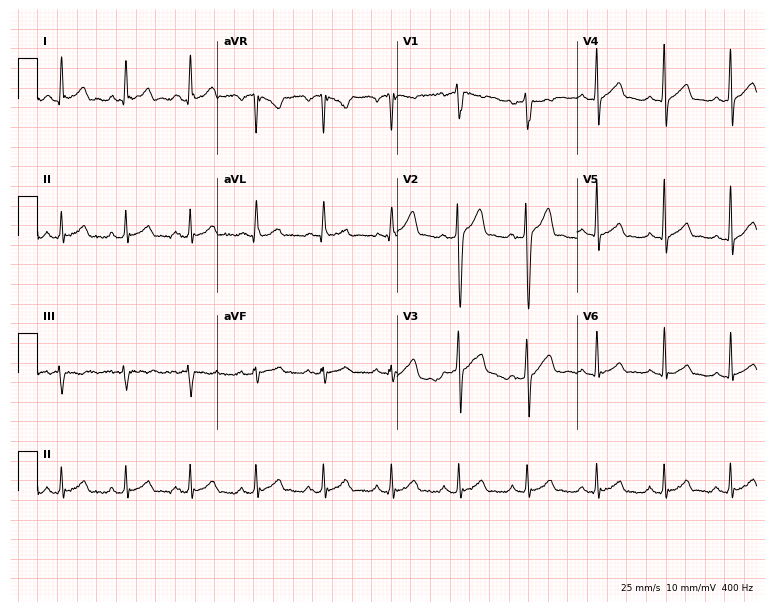
Electrocardiogram (7.3-second recording at 400 Hz), a man, 34 years old. Overall reading on record: normal ECG.